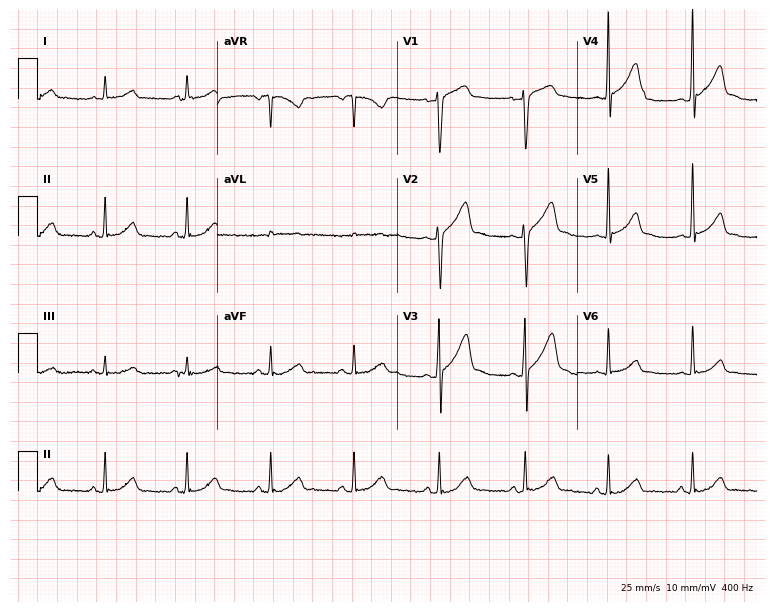
Standard 12-lead ECG recorded from a 31-year-old male patient. None of these six findings is recorded: first-degree AV block, right bundle branch block (RBBB), left bundle branch block (LBBB), sinus bradycardia, atrial fibrillation (AF), sinus tachycardia.